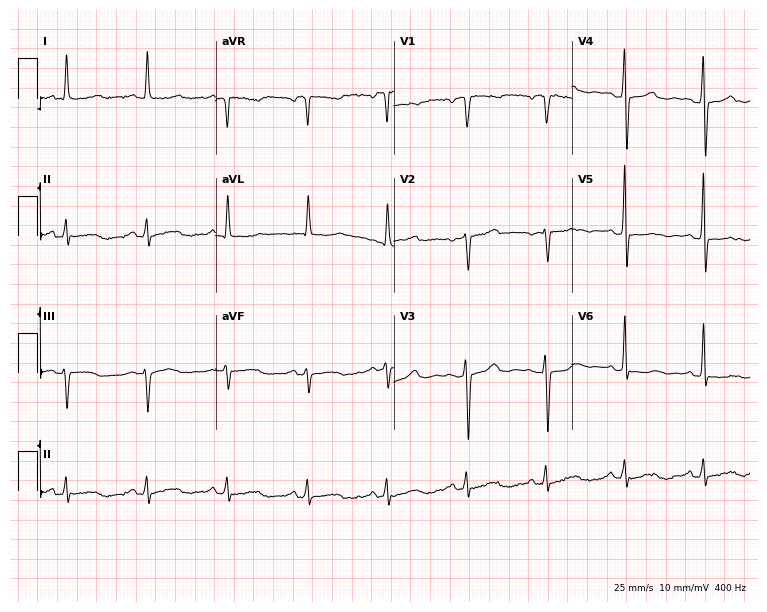
12-lead ECG from a female patient, 82 years old. Labelled as a normal ECG.